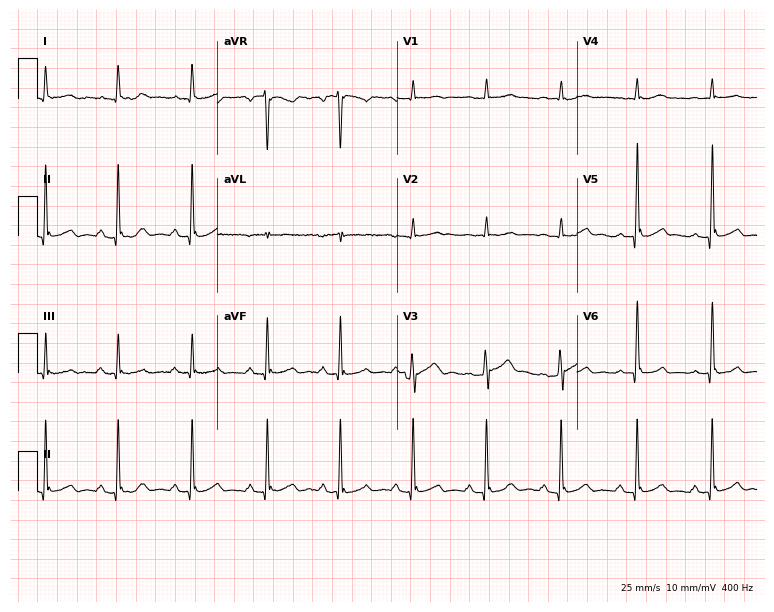
Standard 12-lead ECG recorded from a 38-year-old male (7.3-second recording at 400 Hz). Read as a normal ECG.